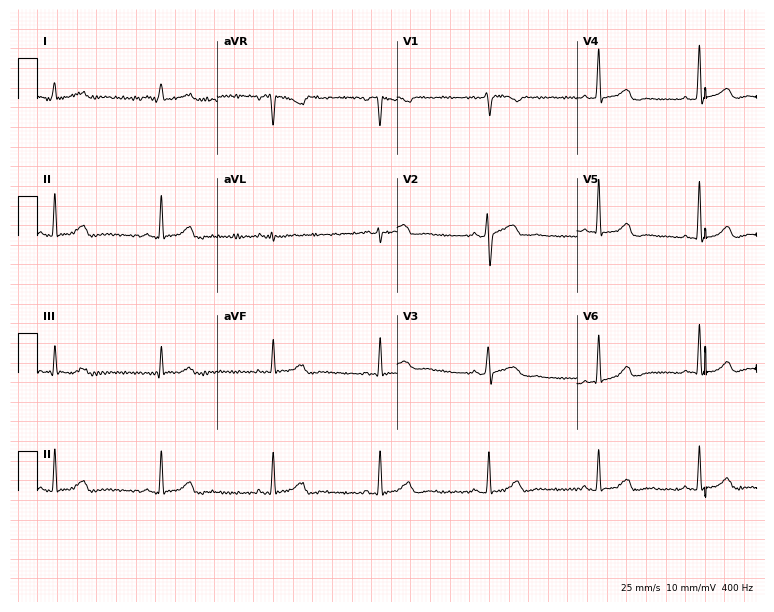
Electrocardiogram, a woman, 51 years old. Of the six screened findings (first-degree AV block, right bundle branch block (RBBB), left bundle branch block (LBBB), sinus bradycardia, atrial fibrillation (AF), sinus tachycardia), none is recorded. Findings outside these six are not listed.